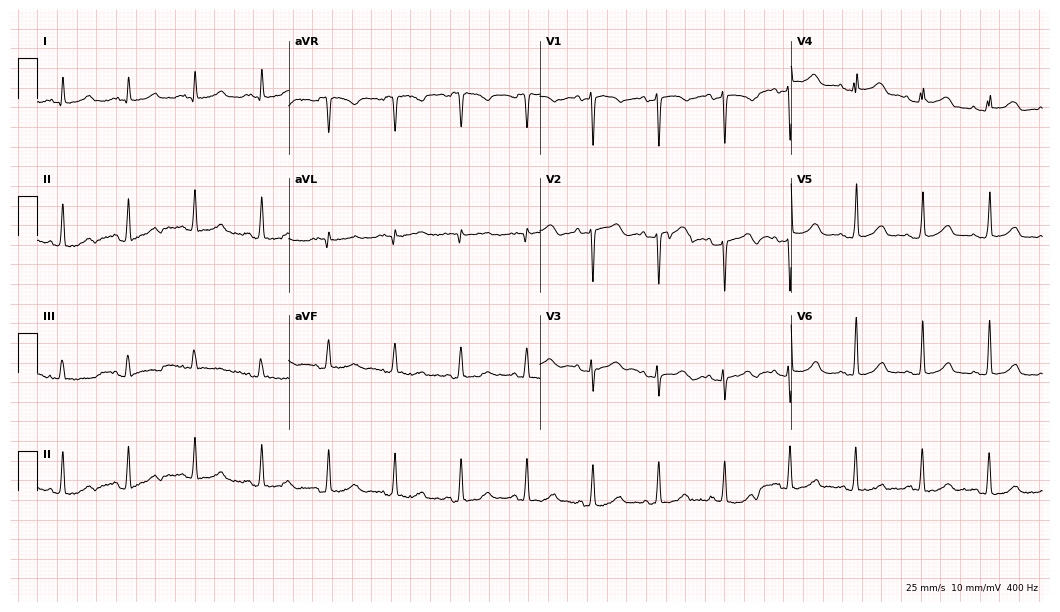
12-lead ECG from a 36-year-old female patient. Screened for six findings — first-degree AV block, right bundle branch block (RBBB), left bundle branch block (LBBB), sinus bradycardia, atrial fibrillation (AF), sinus tachycardia — none is recorded.